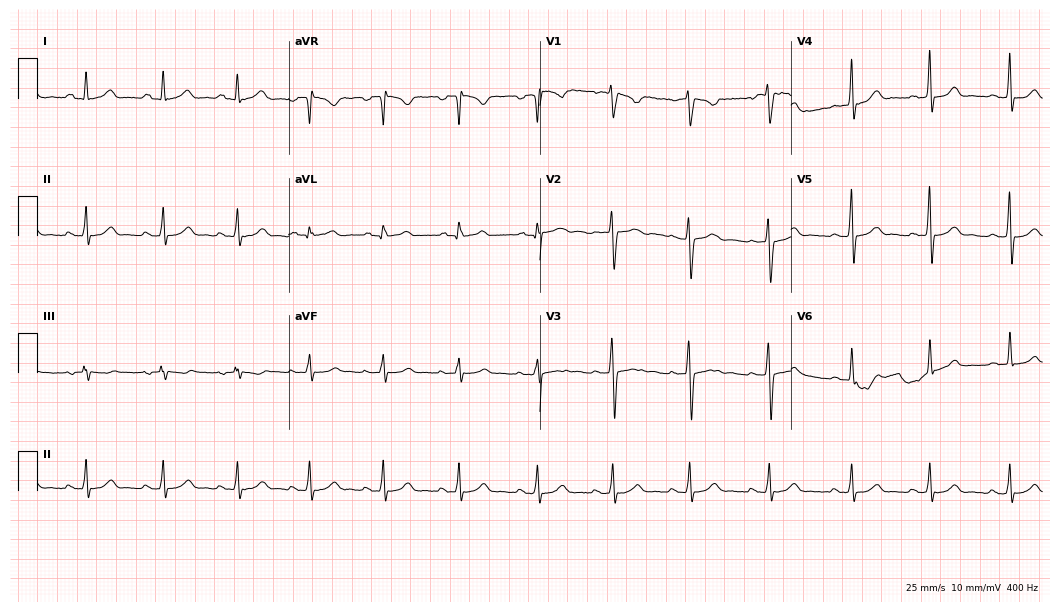
ECG (10.2-second recording at 400 Hz) — a 23-year-old woman. Labelled as a normal ECG.